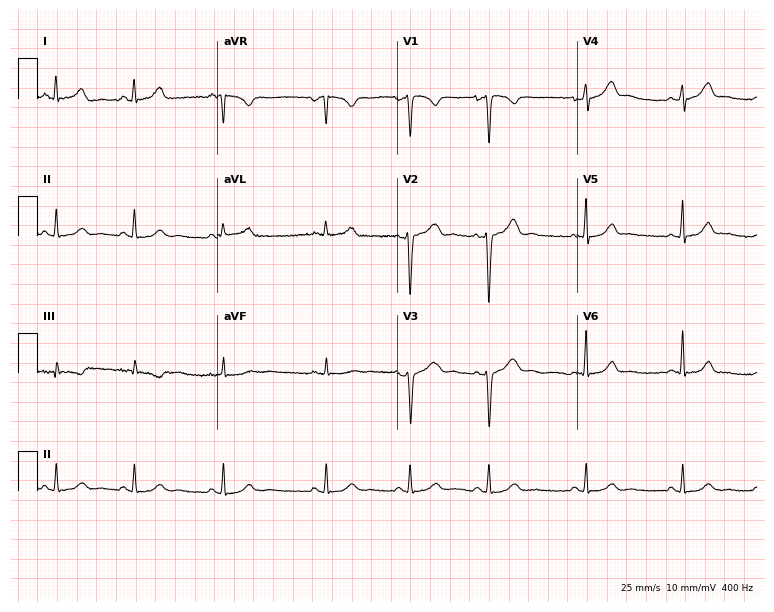
12-lead ECG from a female patient, 20 years old. No first-degree AV block, right bundle branch block (RBBB), left bundle branch block (LBBB), sinus bradycardia, atrial fibrillation (AF) or sinus tachycardia recorded for this tracing. Findings outside these six are not listed.